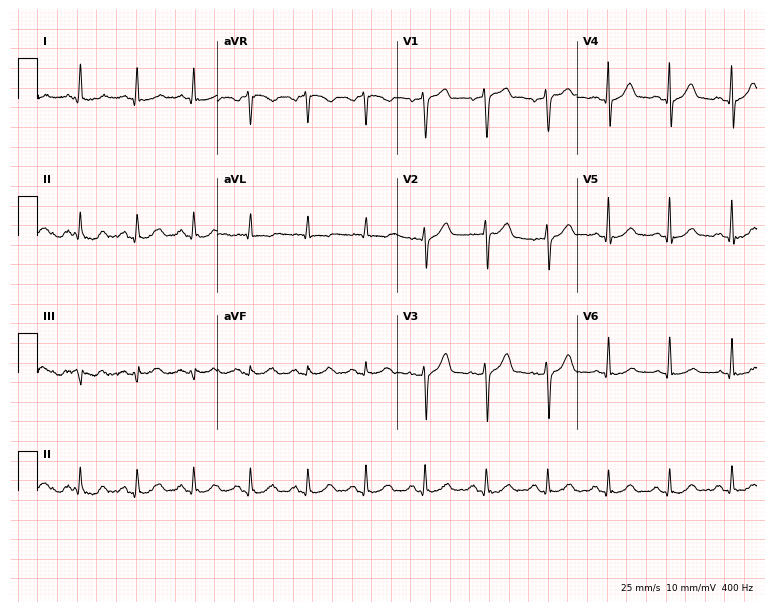
Electrocardiogram (7.3-second recording at 400 Hz), a male patient, 54 years old. Overall reading on record: normal ECG.